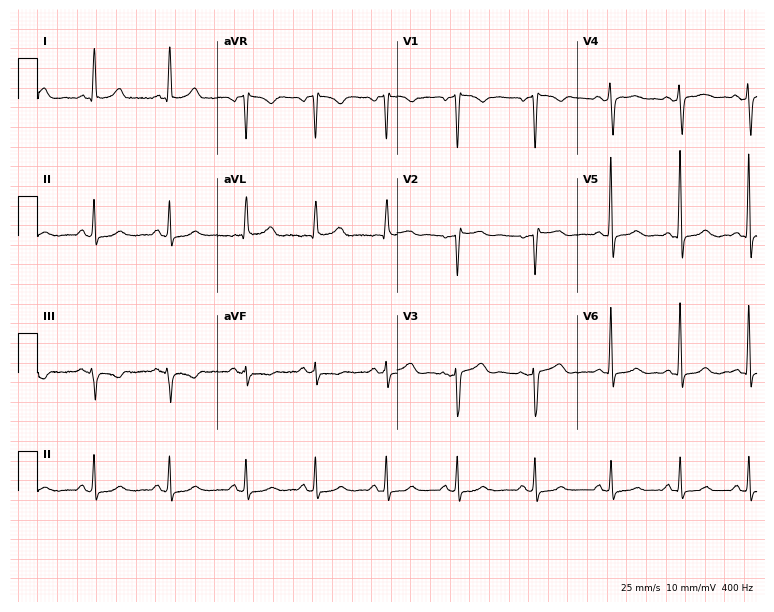
Standard 12-lead ECG recorded from a woman, 65 years old. None of these six findings is recorded: first-degree AV block, right bundle branch block, left bundle branch block, sinus bradycardia, atrial fibrillation, sinus tachycardia.